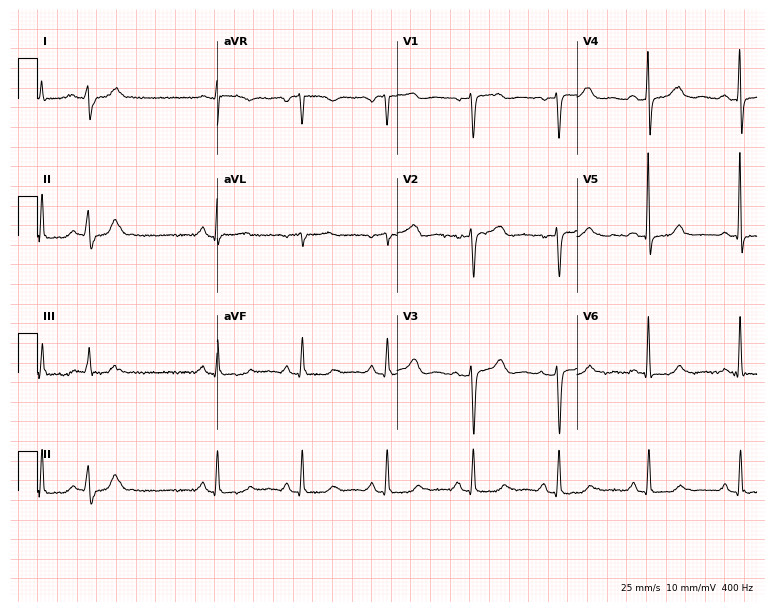
12-lead ECG from a 62-year-old female (7.3-second recording at 400 Hz). No first-degree AV block, right bundle branch block, left bundle branch block, sinus bradycardia, atrial fibrillation or sinus tachycardia recorded for this tracing.